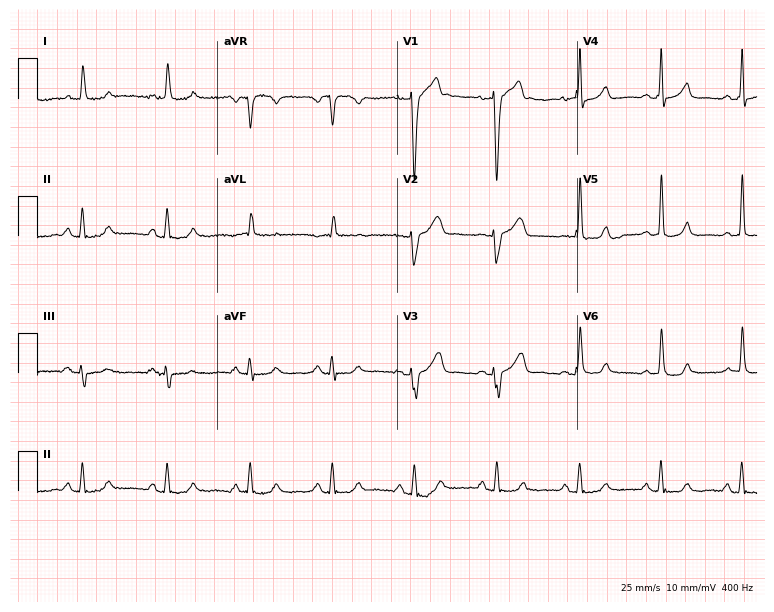
12-lead ECG (7.3-second recording at 400 Hz) from a 72-year-old male patient. Screened for six findings — first-degree AV block, right bundle branch block, left bundle branch block, sinus bradycardia, atrial fibrillation, sinus tachycardia — none is recorded.